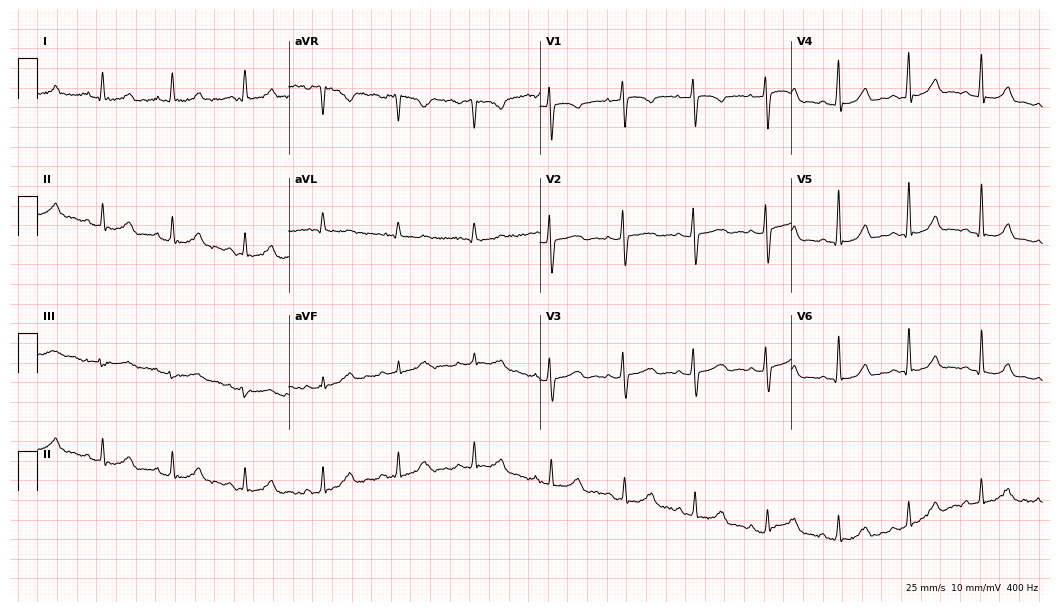
Standard 12-lead ECG recorded from a female patient, 36 years old (10.2-second recording at 400 Hz). Read as a normal ECG.